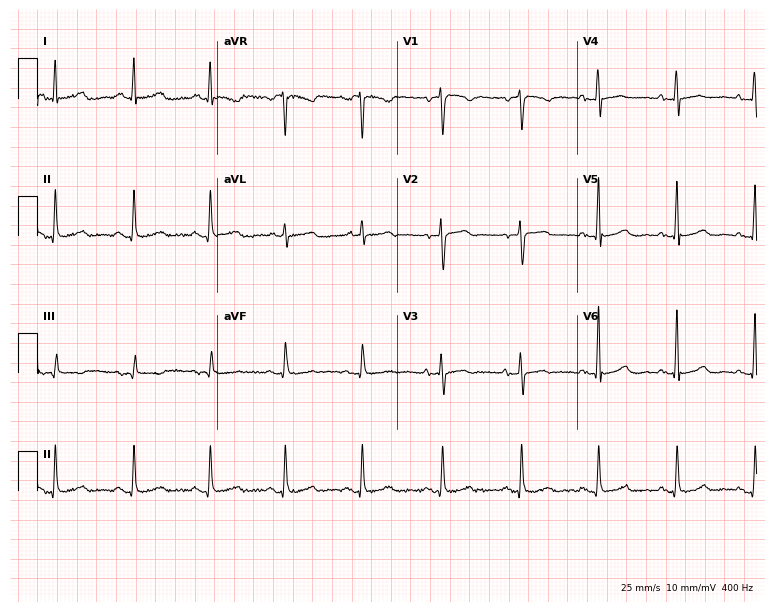
ECG (7.3-second recording at 400 Hz) — a 55-year-old female. Screened for six findings — first-degree AV block, right bundle branch block, left bundle branch block, sinus bradycardia, atrial fibrillation, sinus tachycardia — none is recorded. Other findings, if any, are not listed.